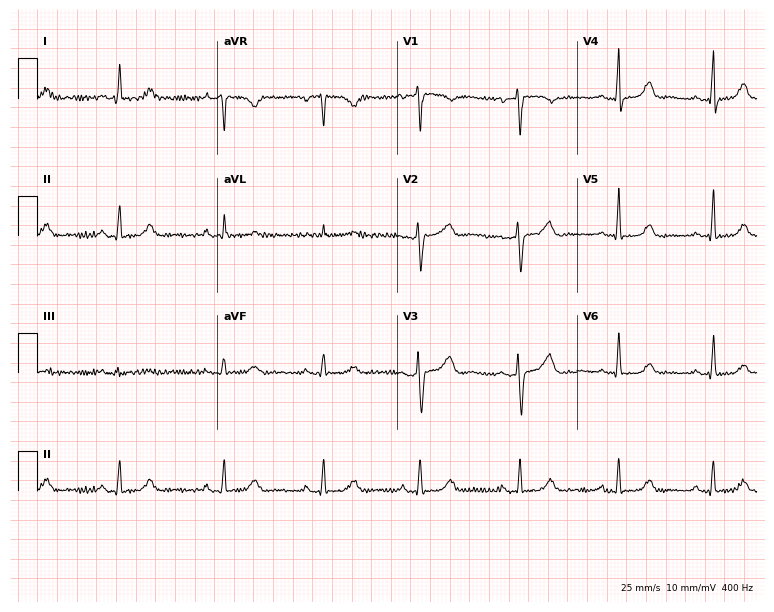
12-lead ECG from a female patient, 56 years old (7.3-second recording at 400 Hz). Recorded interpretation: within normal limits.